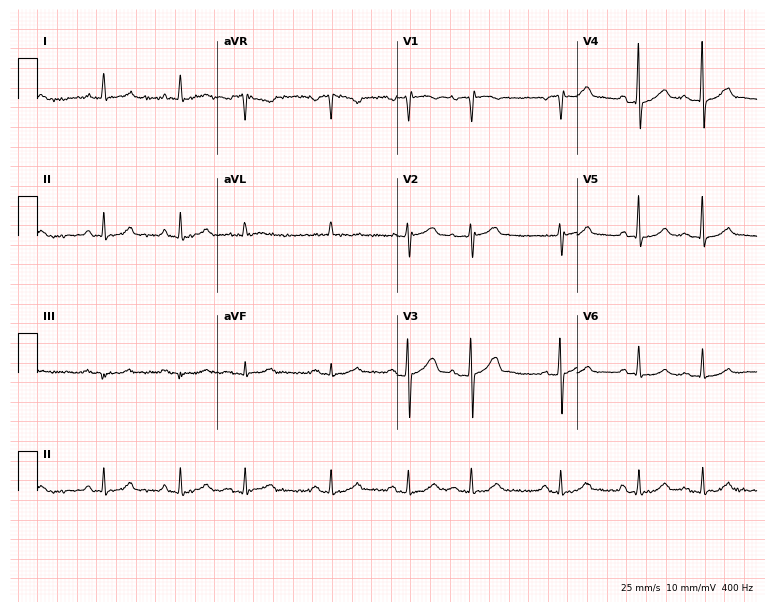
Electrocardiogram, a 79-year-old male patient. Overall reading on record: normal ECG.